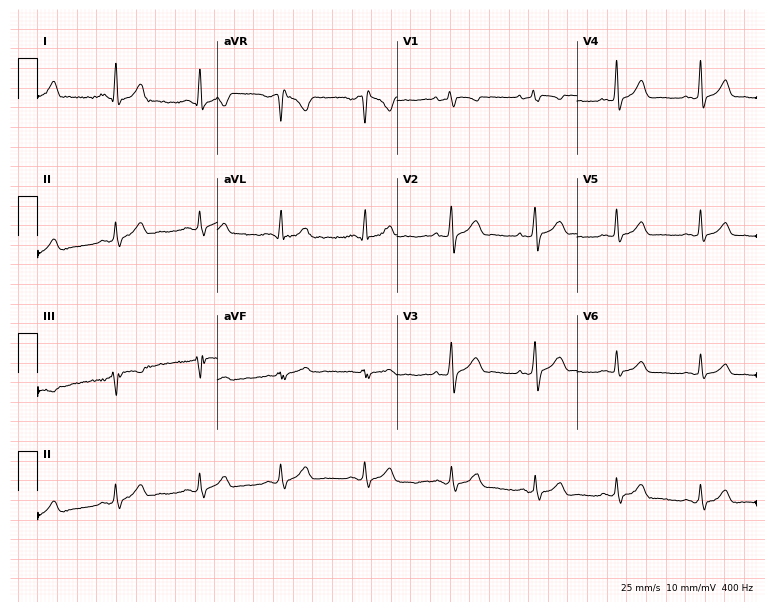
12-lead ECG from a female patient, 37 years old (7.3-second recording at 400 Hz). No first-degree AV block, right bundle branch block (RBBB), left bundle branch block (LBBB), sinus bradycardia, atrial fibrillation (AF) or sinus tachycardia recorded for this tracing. Other findings, if any, are not listed.